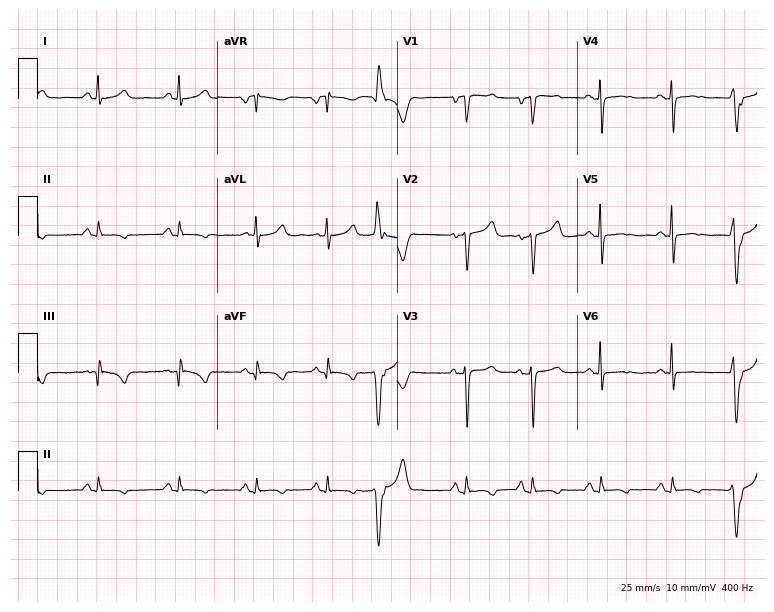
Resting 12-lead electrocardiogram. Patient: a woman, 55 years old. None of these six findings is recorded: first-degree AV block, right bundle branch block (RBBB), left bundle branch block (LBBB), sinus bradycardia, atrial fibrillation (AF), sinus tachycardia. Other findings, if any, are not listed.